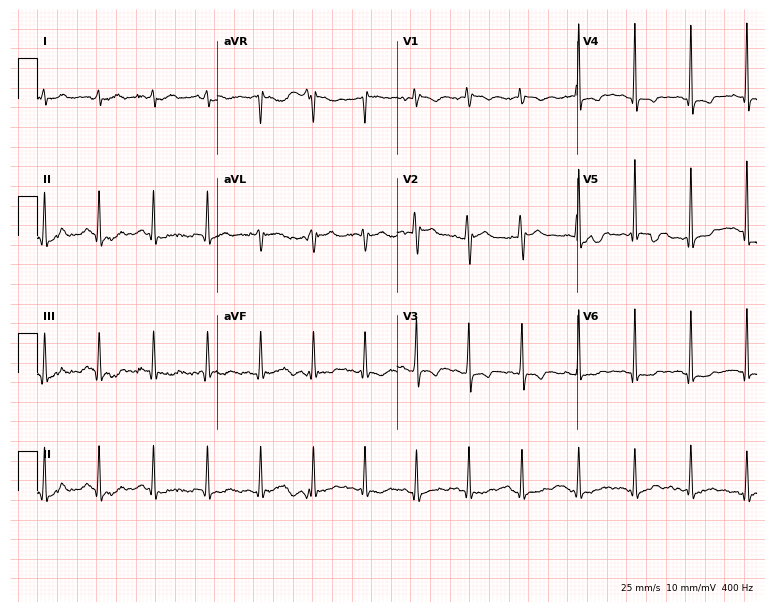
ECG (7.3-second recording at 400 Hz) — a man, 20 years old. Findings include sinus tachycardia (a sinus rate of 100 beats per minute or more).